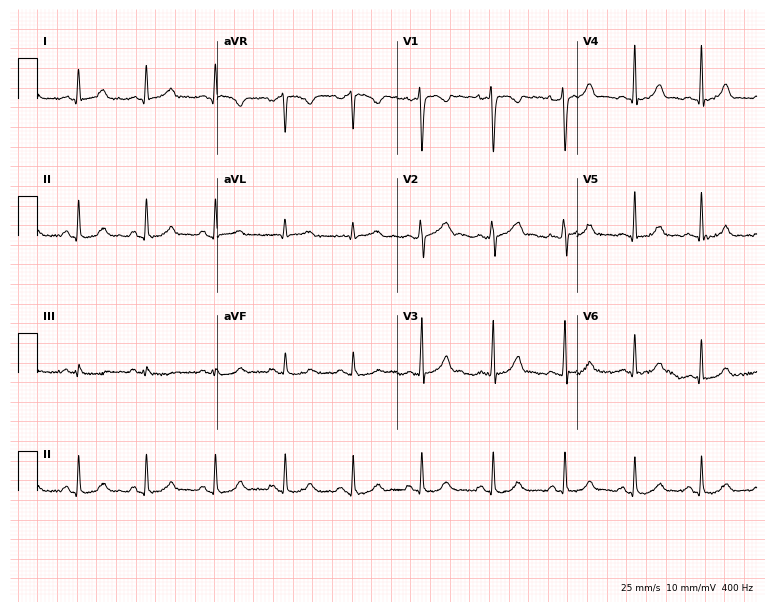
12-lead ECG from a 26-year-old female. Screened for six findings — first-degree AV block, right bundle branch block, left bundle branch block, sinus bradycardia, atrial fibrillation, sinus tachycardia — none is recorded. Findings outside these six are not listed.